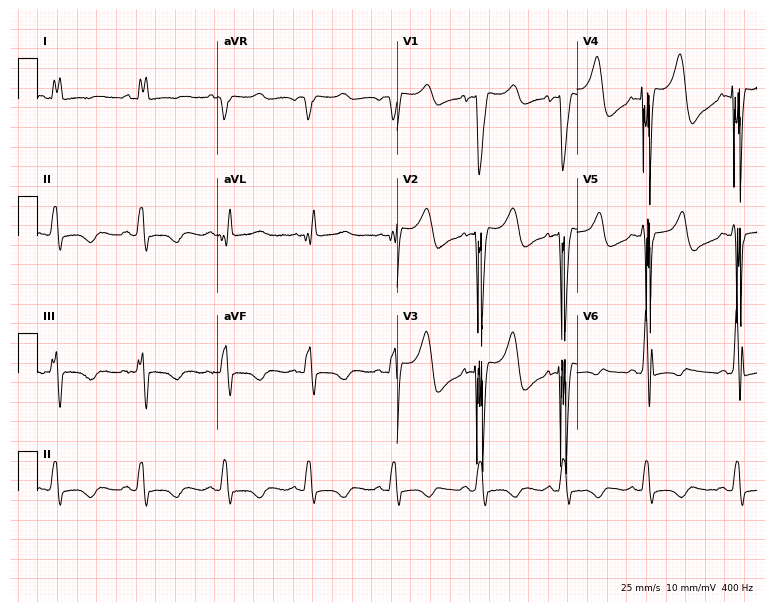
ECG — a 71-year-old female patient. Screened for six findings — first-degree AV block, right bundle branch block, left bundle branch block, sinus bradycardia, atrial fibrillation, sinus tachycardia — none is recorded.